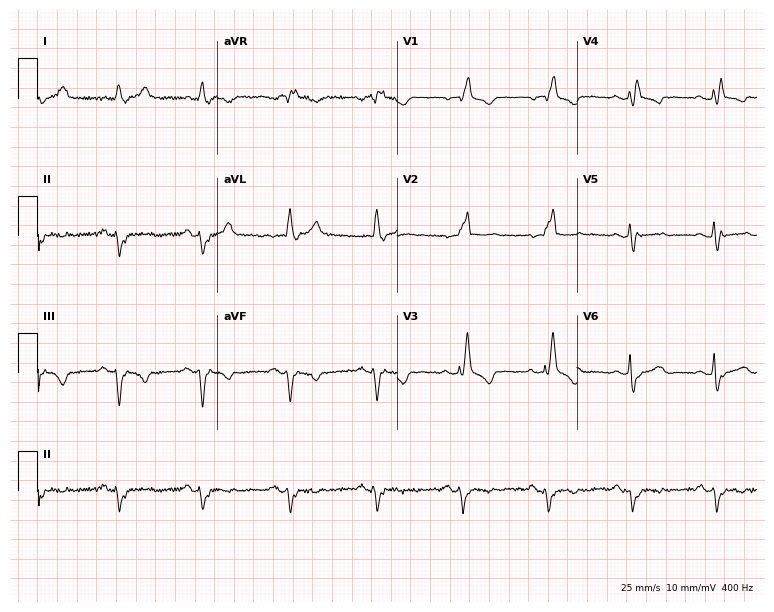
Electrocardiogram, a 74-year-old male patient. Interpretation includes right bundle branch block.